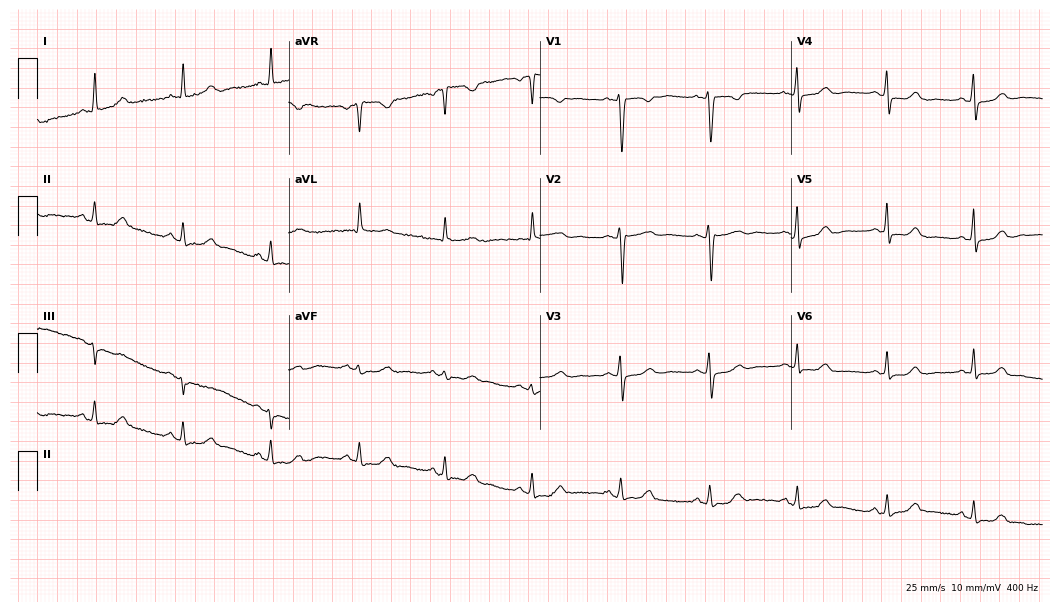
Standard 12-lead ECG recorded from a 47-year-old female patient (10.2-second recording at 400 Hz). Read as a normal ECG.